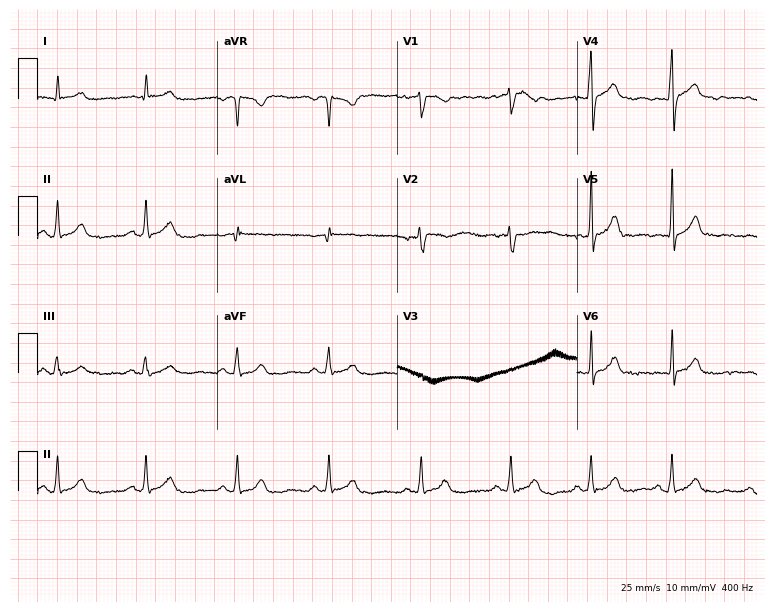
Standard 12-lead ECG recorded from a woman, 38 years old (7.3-second recording at 400 Hz). None of these six findings is recorded: first-degree AV block, right bundle branch block, left bundle branch block, sinus bradycardia, atrial fibrillation, sinus tachycardia. Findings outside these six are not listed.